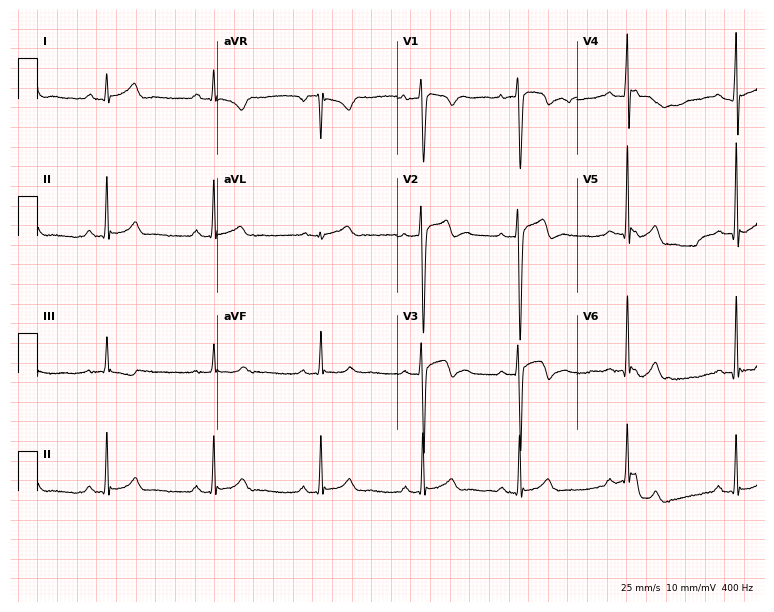
Resting 12-lead electrocardiogram (7.3-second recording at 400 Hz). Patient: a man, 18 years old. Read as a normal ECG.